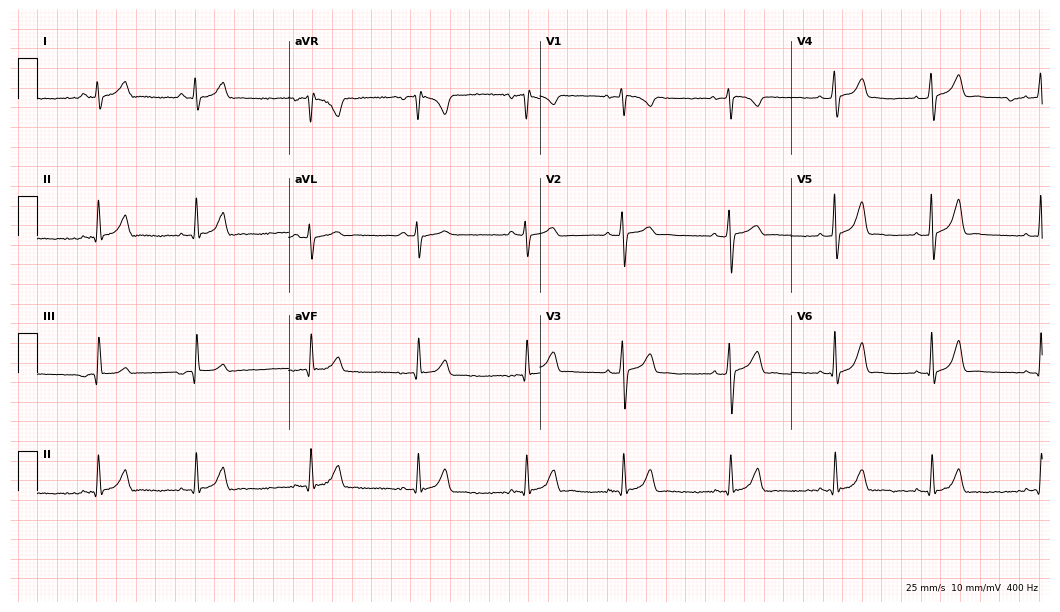
12-lead ECG from a 36-year-old female (10.2-second recording at 400 Hz). Recorded interpretation: within normal limits.